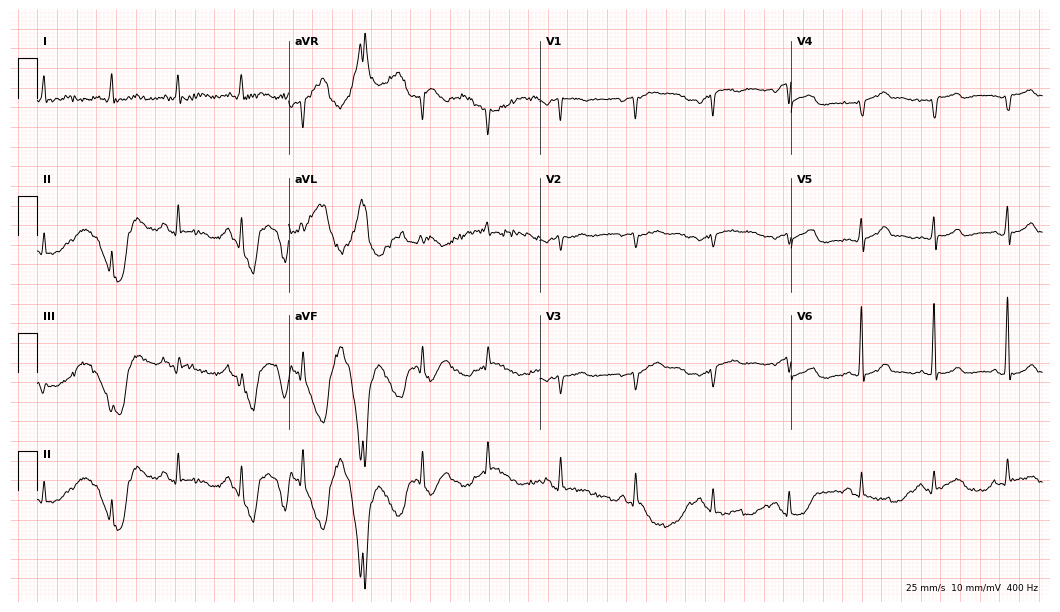
12-lead ECG (10.2-second recording at 400 Hz) from a female, 69 years old. Screened for six findings — first-degree AV block, right bundle branch block, left bundle branch block, sinus bradycardia, atrial fibrillation, sinus tachycardia — none is recorded.